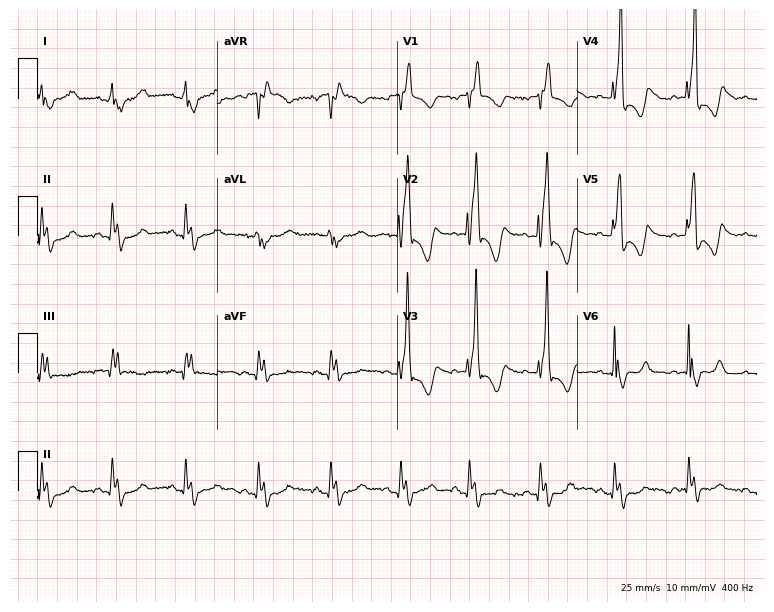
Standard 12-lead ECG recorded from a female, 26 years old. The tracing shows right bundle branch block.